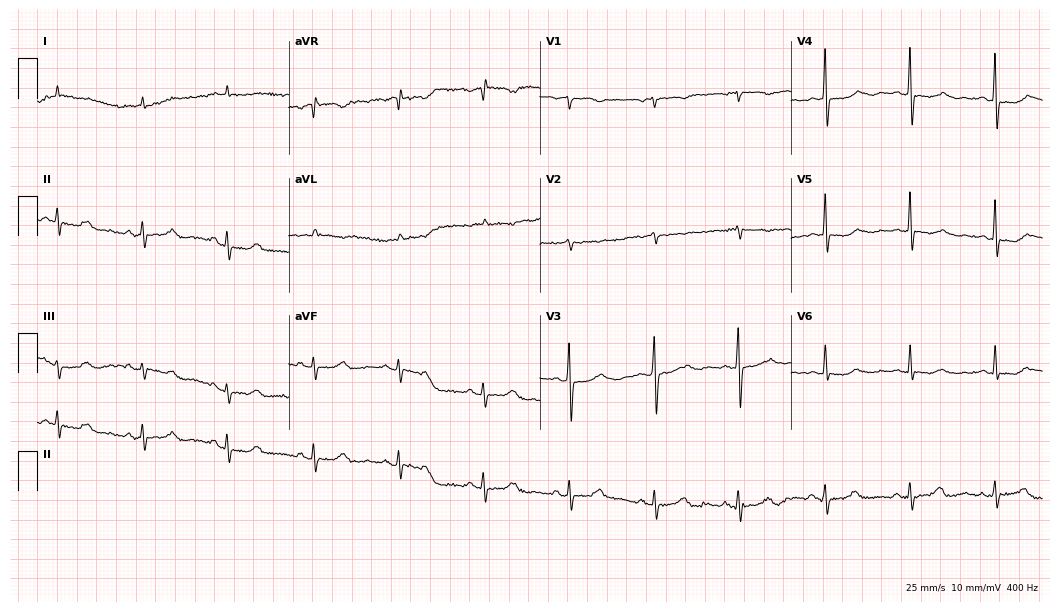
ECG (10.2-second recording at 400 Hz) — a 61-year-old female. Screened for six findings — first-degree AV block, right bundle branch block, left bundle branch block, sinus bradycardia, atrial fibrillation, sinus tachycardia — none is recorded.